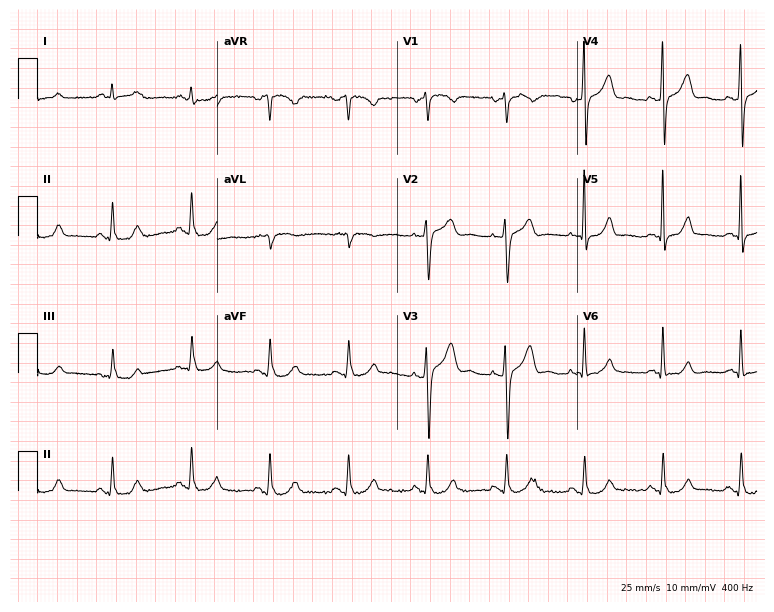
Resting 12-lead electrocardiogram. Patient: a male, 60 years old. Read as a normal ECG.